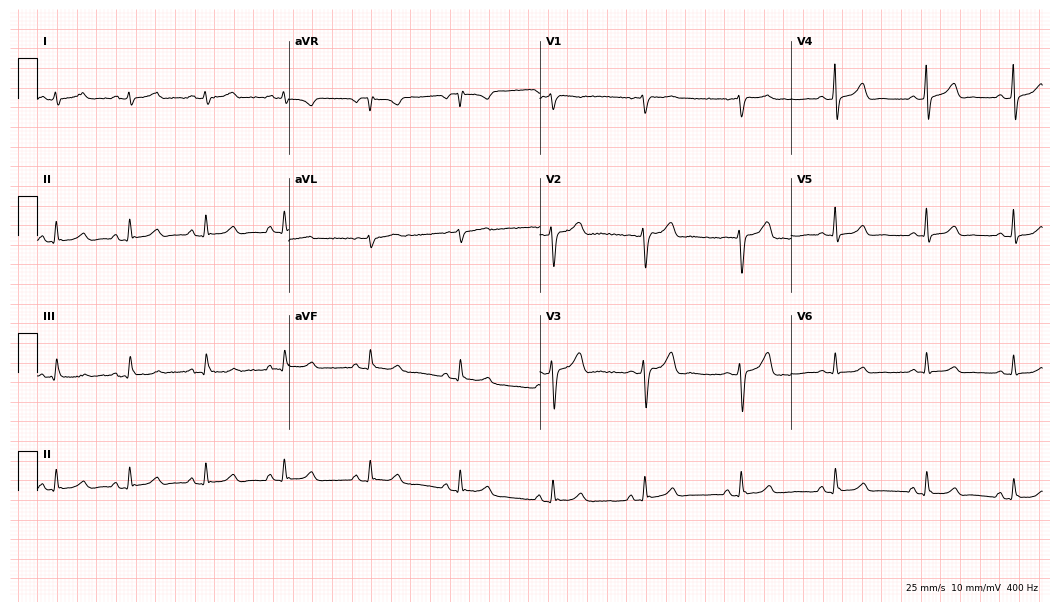
12-lead ECG from a 51-year-old female. Screened for six findings — first-degree AV block, right bundle branch block, left bundle branch block, sinus bradycardia, atrial fibrillation, sinus tachycardia — none is recorded.